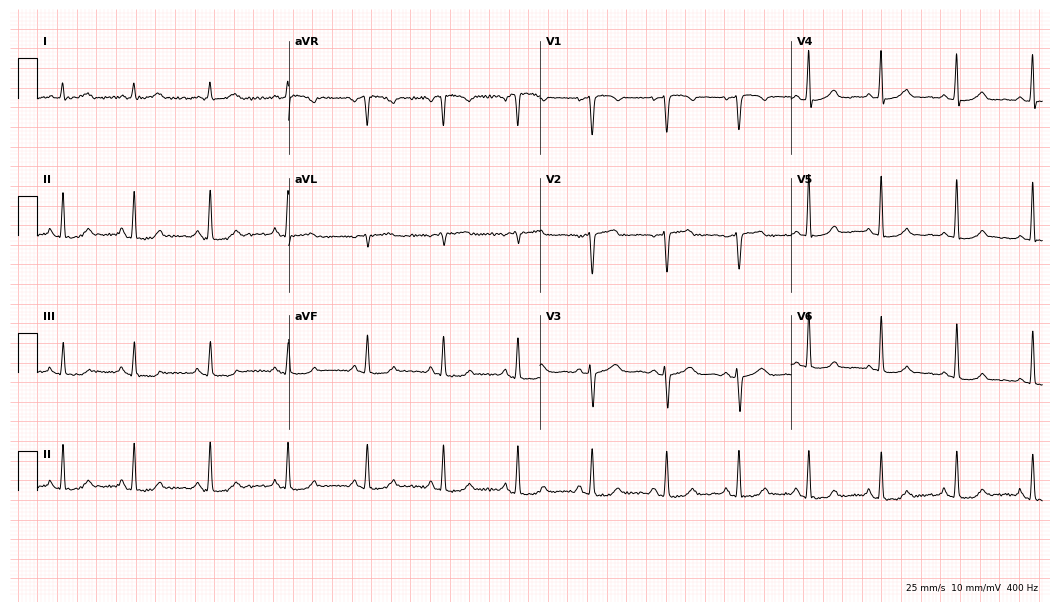
Electrocardiogram (10.2-second recording at 400 Hz), a 53-year-old female patient. Overall reading on record: normal ECG.